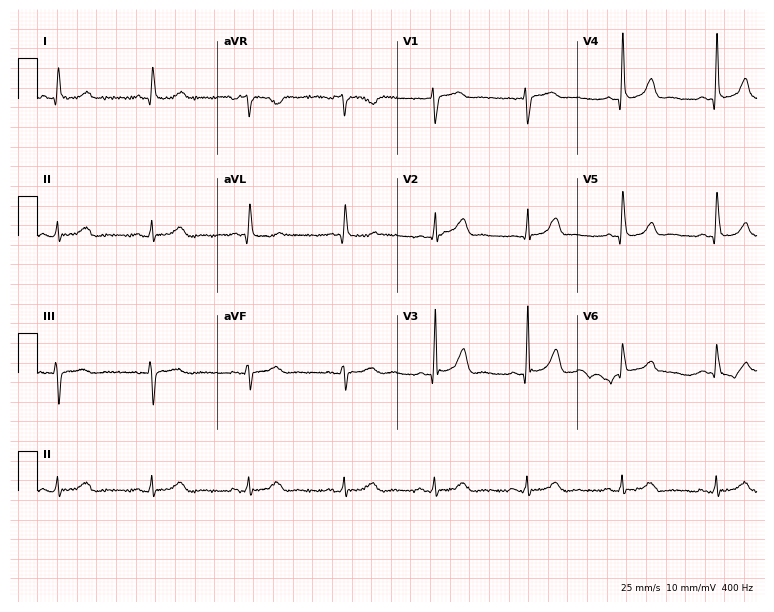
Resting 12-lead electrocardiogram (7.3-second recording at 400 Hz). Patient: a 68-year-old male. Read as a normal ECG.